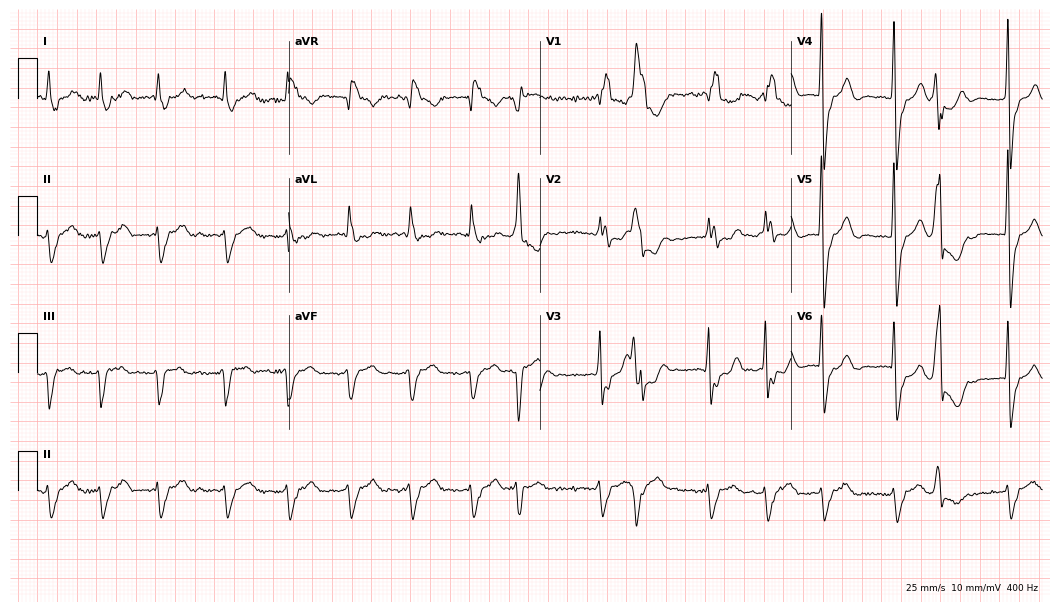
12-lead ECG (10.2-second recording at 400 Hz) from a man, 76 years old. Findings include right bundle branch block (RBBB).